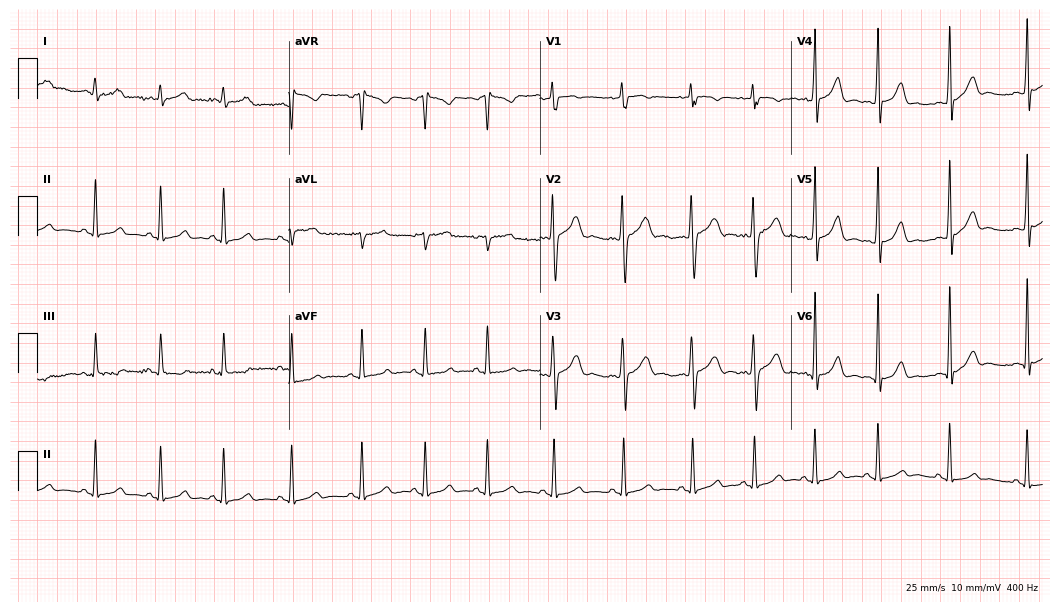
12-lead ECG from a female patient, 20 years old. Recorded interpretation: within normal limits.